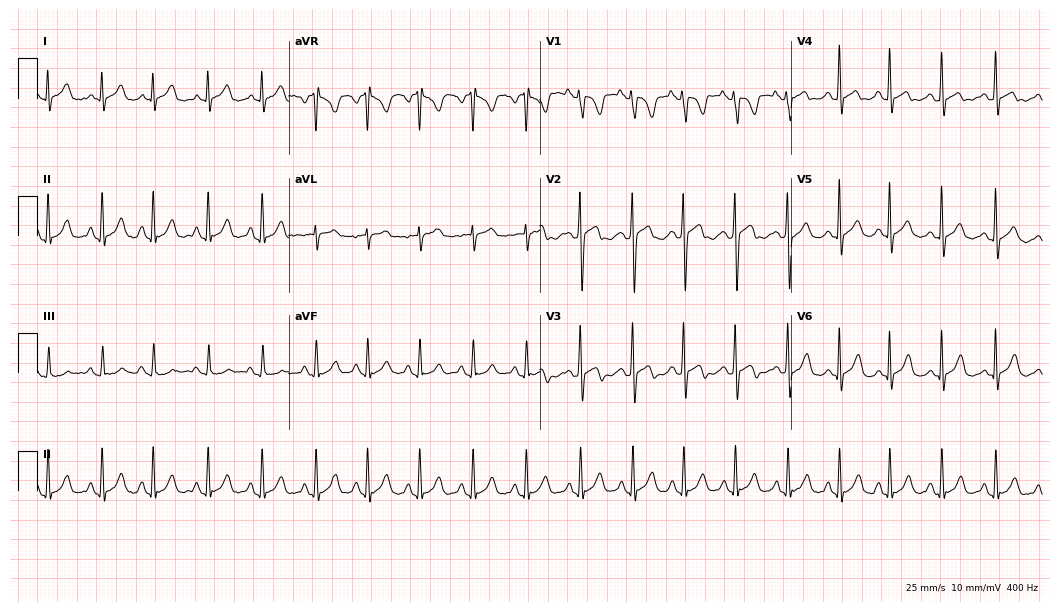
12-lead ECG from a 23-year-old woman. Findings include sinus tachycardia (a sinus rate of 100 beats per minute or more).